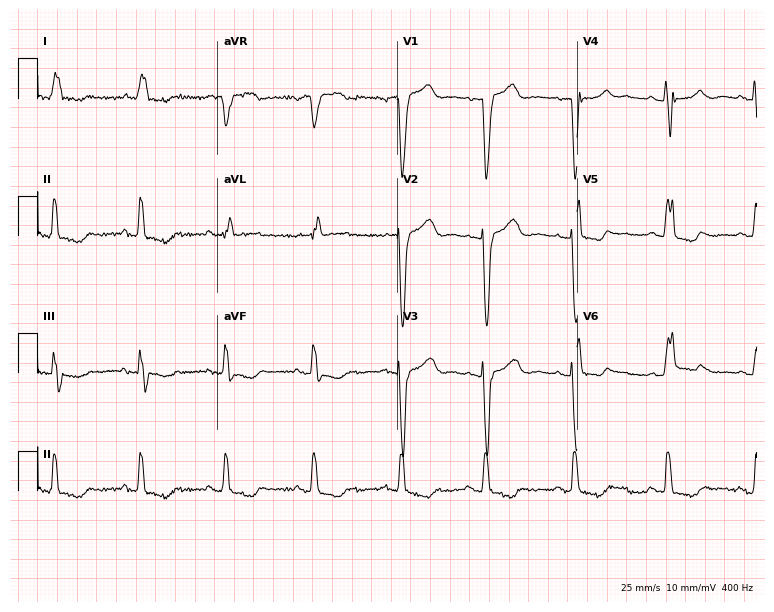
Resting 12-lead electrocardiogram. Patient: a 62-year-old woman. The tracing shows left bundle branch block.